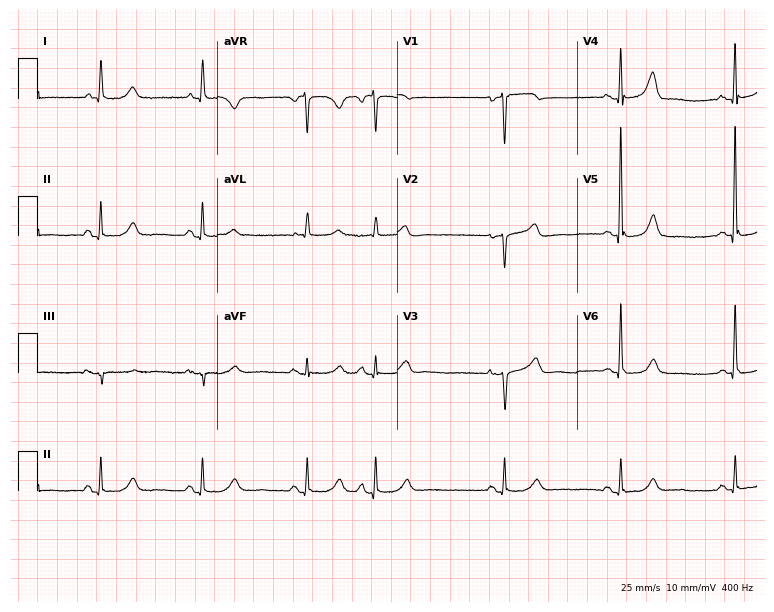
ECG — a woman, 71 years old. Screened for six findings — first-degree AV block, right bundle branch block (RBBB), left bundle branch block (LBBB), sinus bradycardia, atrial fibrillation (AF), sinus tachycardia — none is recorded. Other findings, if any, are not listed.